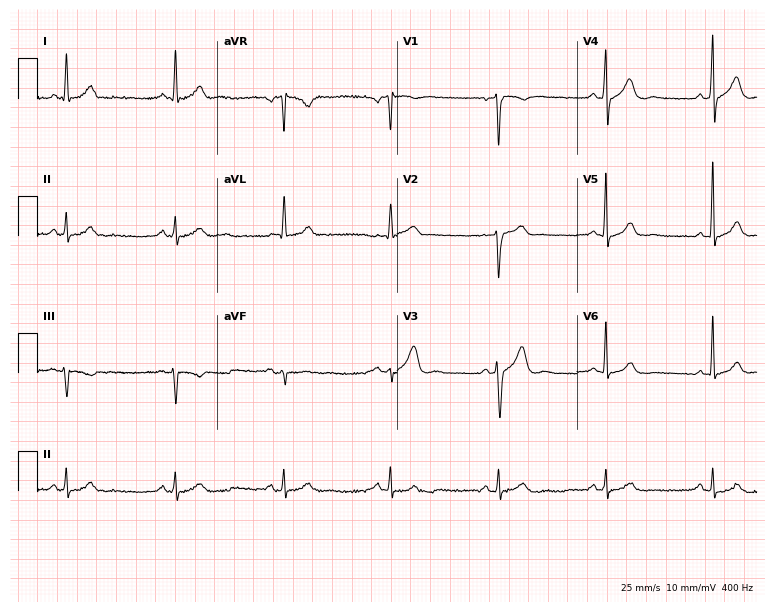
Resting 12-lead electrocardiogram (7.3-second recording at 400 Hz). Patient: a man, 67 years old. Read as a normal ECG.